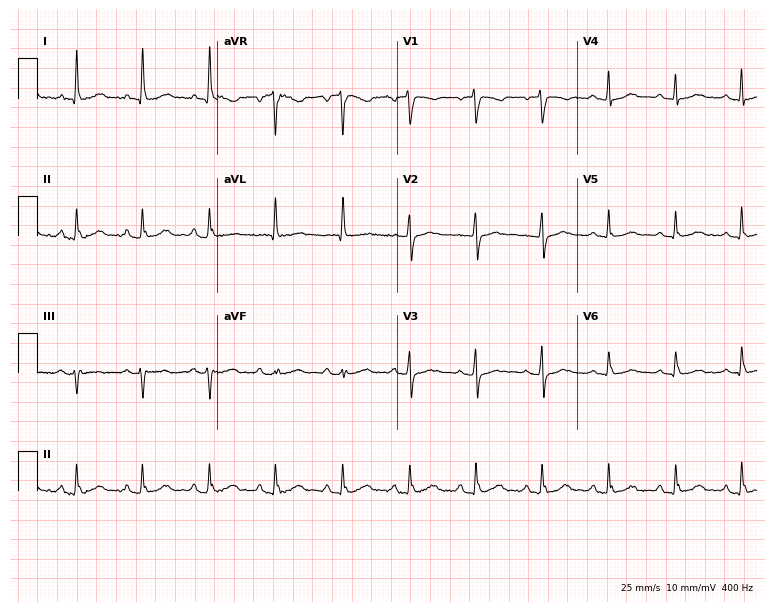
12-lead ECG from a 75-year-old woman (7.3-second recording at 400 Hz). No first-degree AV block, right bundle branch block, left bundle branch block, sinus bradycardia, atrial fibrillation or sinus tachycardia recorded for this tracing.